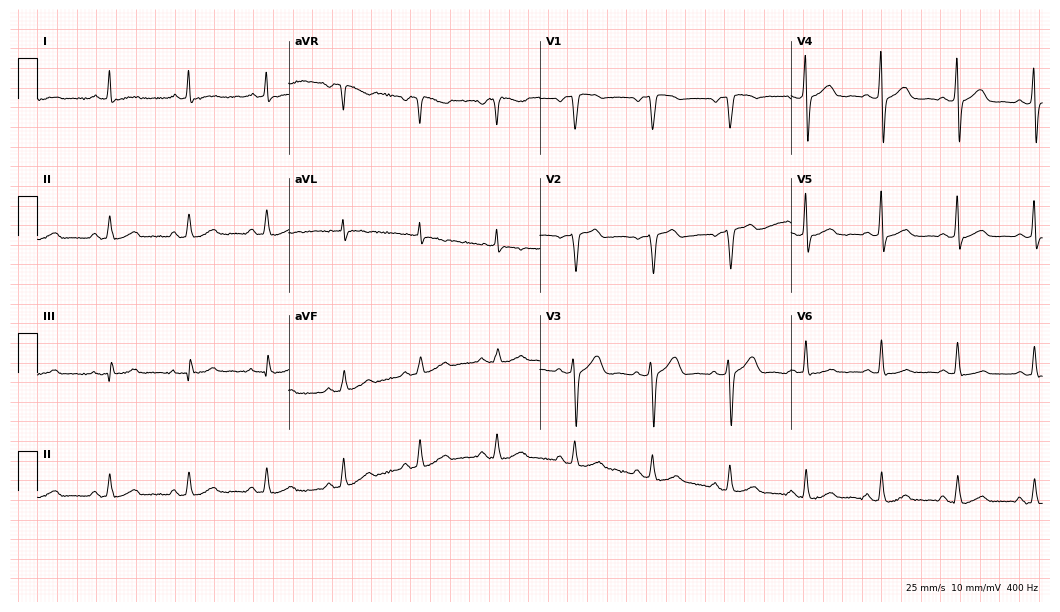
12-lead ECG (10.2-second recording at 400 Hz) from a 59-year-old male patient. Labelled as a normal ECG.